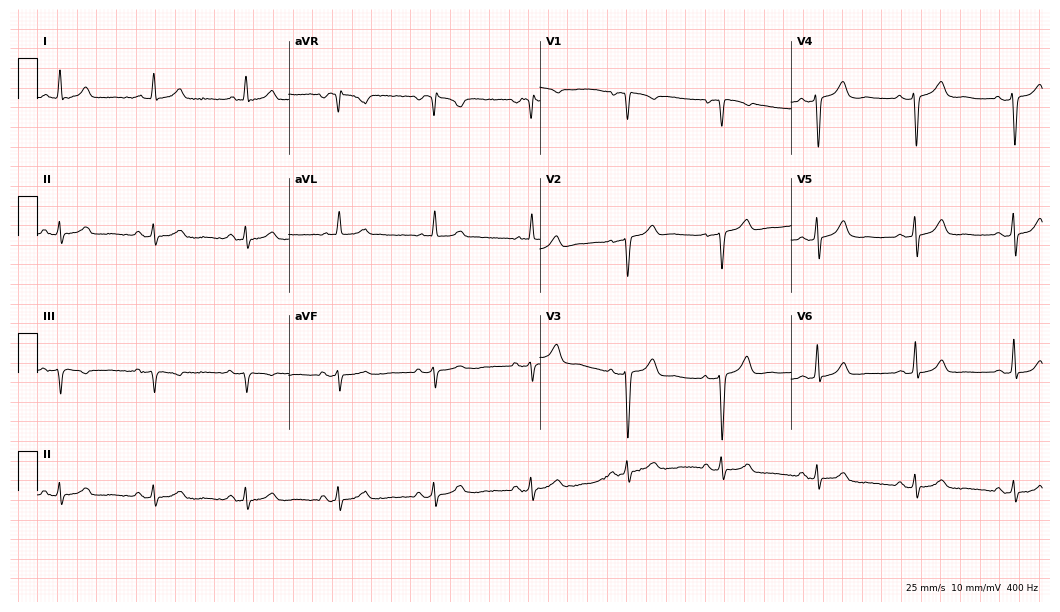
Standard 12-lead ECG recorded from a 48-year-old male patient. Read as a normal ECG.